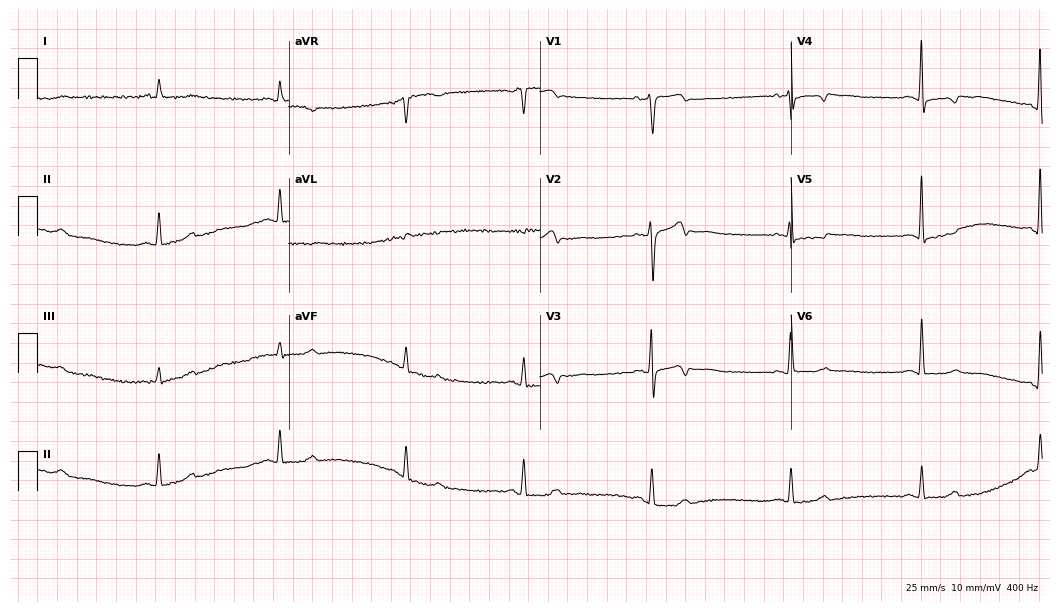
12-lead ECG from a 77-year-old female. Findings include right bundle branch block.